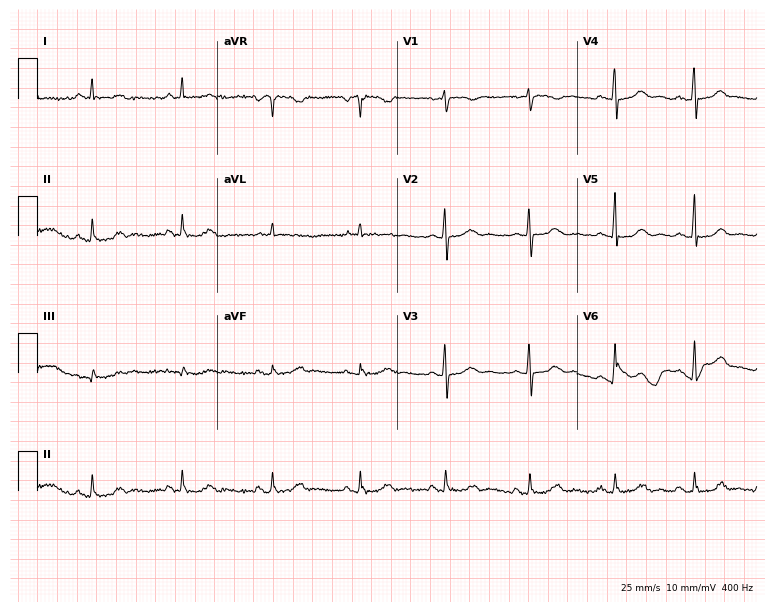
12-lead ECG (7.3-second recording at 400 Hz) from a 72-year-old female patient. Labelled as a normal ECG.